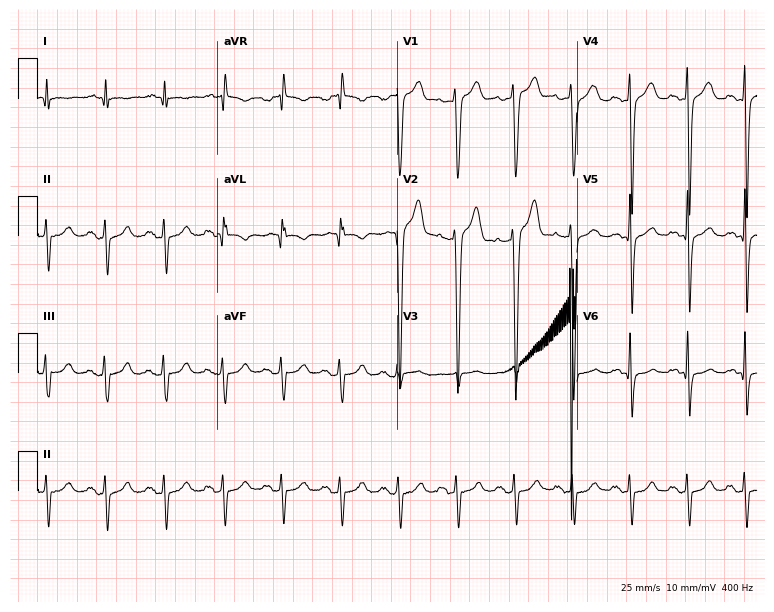
Standard 12-lead ECG recorded from a 43-year-old male patient (7.3-second recording at 400 Hz). None of these six findings is recorded: first-degree AV block, right bundle branch block (RBBB), left bundle branch block (LBBB), sinus bradycardia, atrial fibrillation (AF), sinus tachycardia.